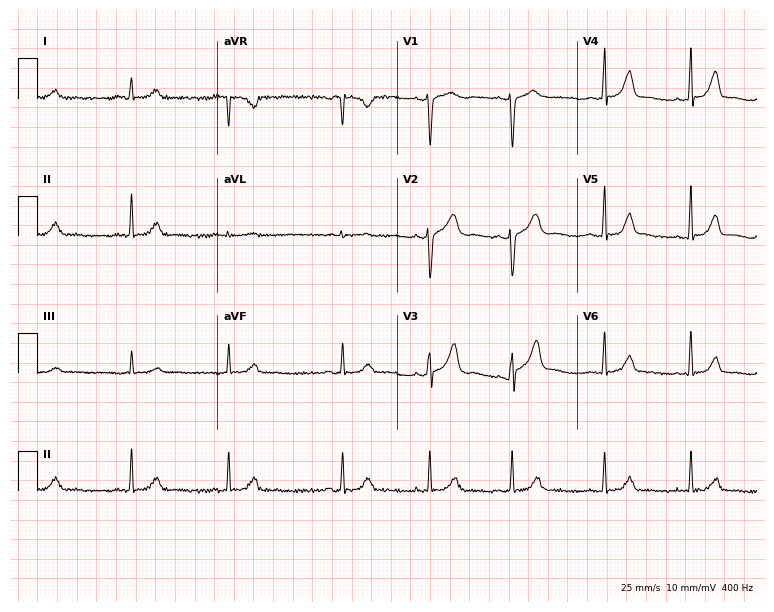
ECG (7.3-second recording at 400 Hz) — a female, 24 years old. Labelled as a normal ECG.